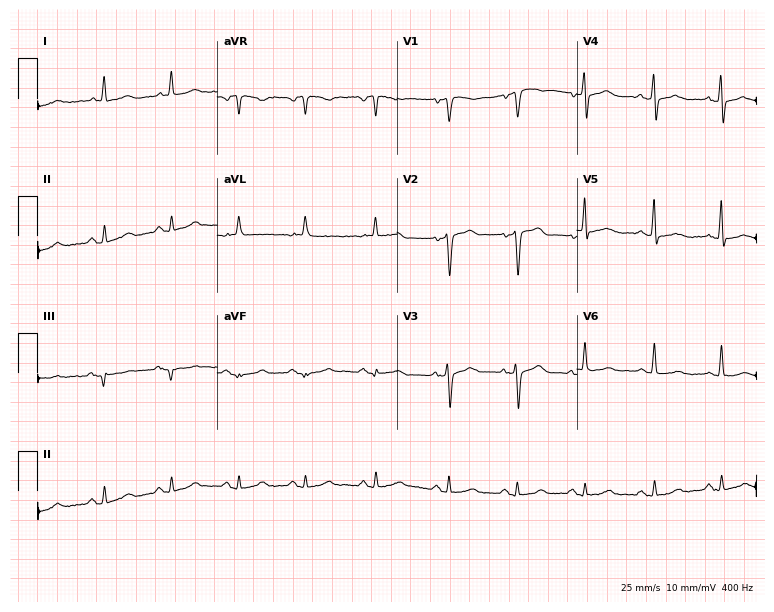
Electrocardiogram (7.3-second recording at 400 Hz), a female patient, 73 years old. Of the six screened findings (first-degree AV block, right bundle branch block (RBBB), left bundle branch block (LBBB), sinus bradycardia, atrial fibrillation (AF), sinus tachycardia), none is recorded. Only these six findings were labelled.